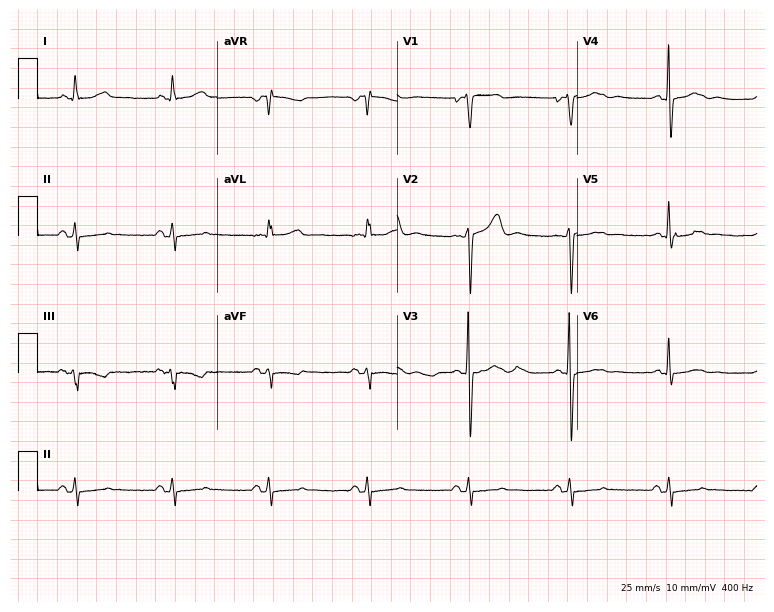
12-lead ECG (7.3-second recording at 400 Hz) from a 75-year-old woman. Screened for six findings — first-degree AV block, right bundle branch block, left bundle branch block, sinus bradycardia, atrial fibrillation, sinus tachycardia — none is recorded. Other findings, if any, are not listed.